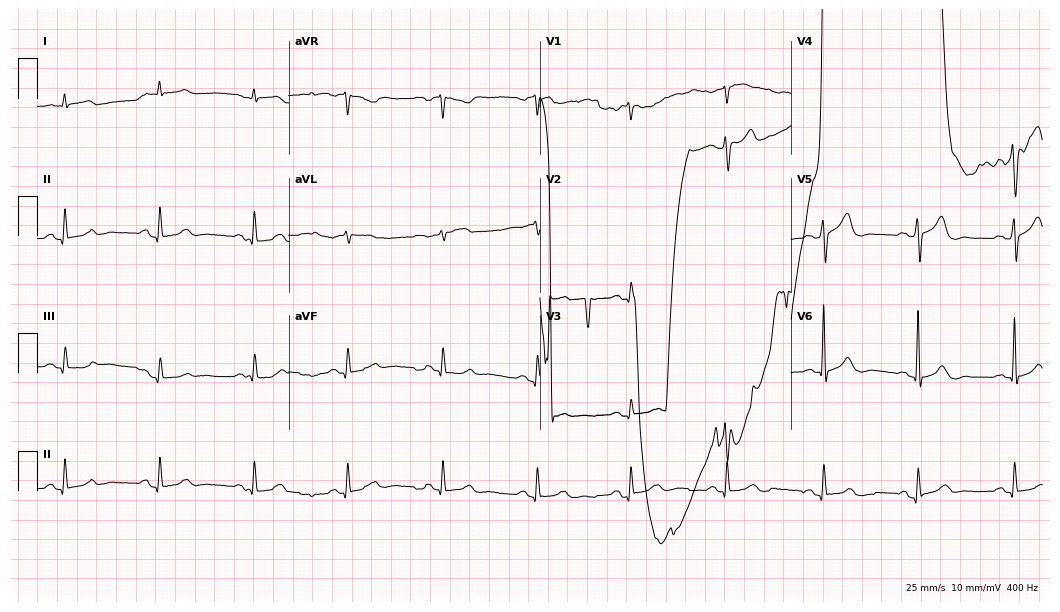
Electrocardiogram (10.2-second recording at 400 Hz), a male patient, 70 years old. Of the six screened findings (first-degree AV block, right bundle branch block, left bundle branch block, sinus bradycardia, atrial fibrillation, sinus tachycardia), none is recorded. Only these six findings were labelled.